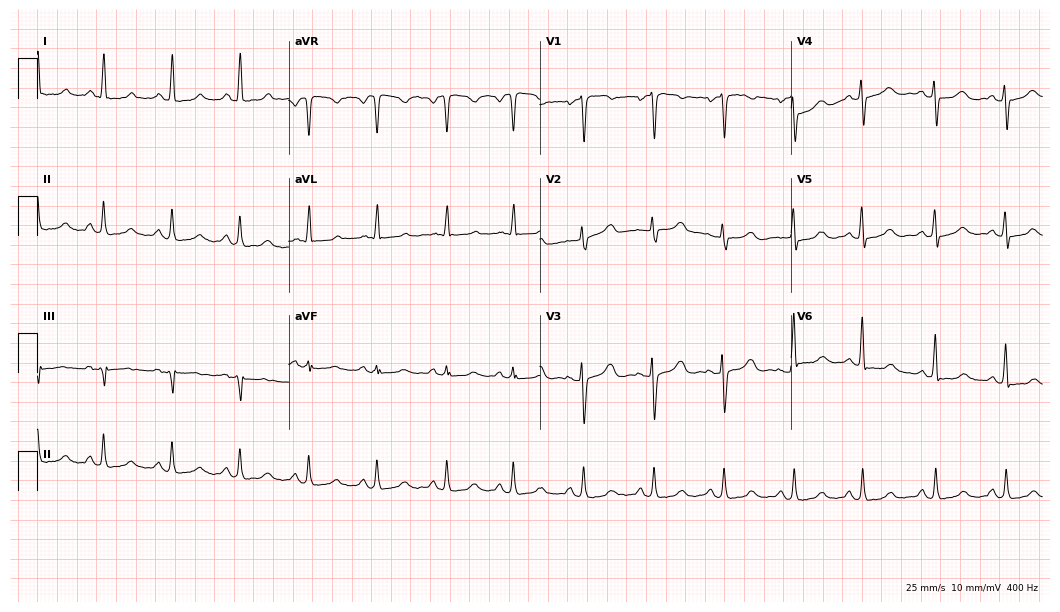
Standard 12-lead ECG recorded from a female, 47 years old. Read as a normal ECG.